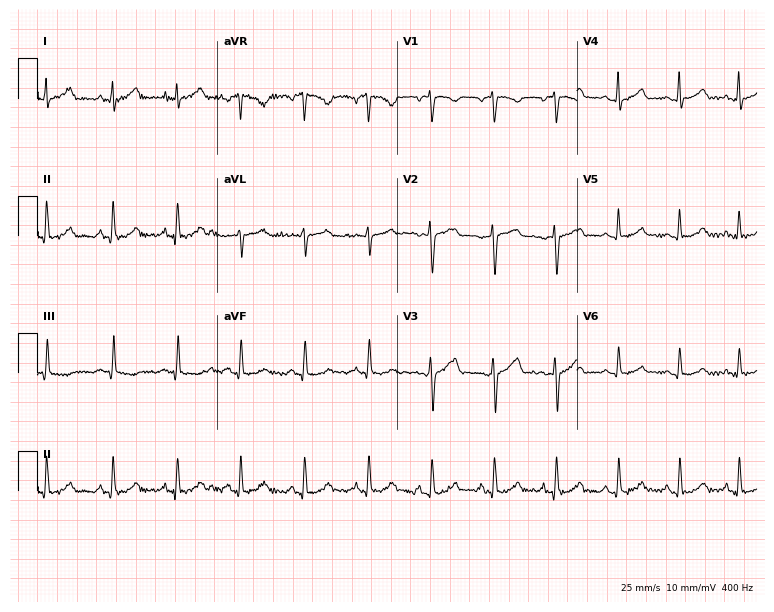
12-lead ECG from a 21-year-old female (7.3-second recording at 400 Hz). Recorded interpretation: within normal limits.